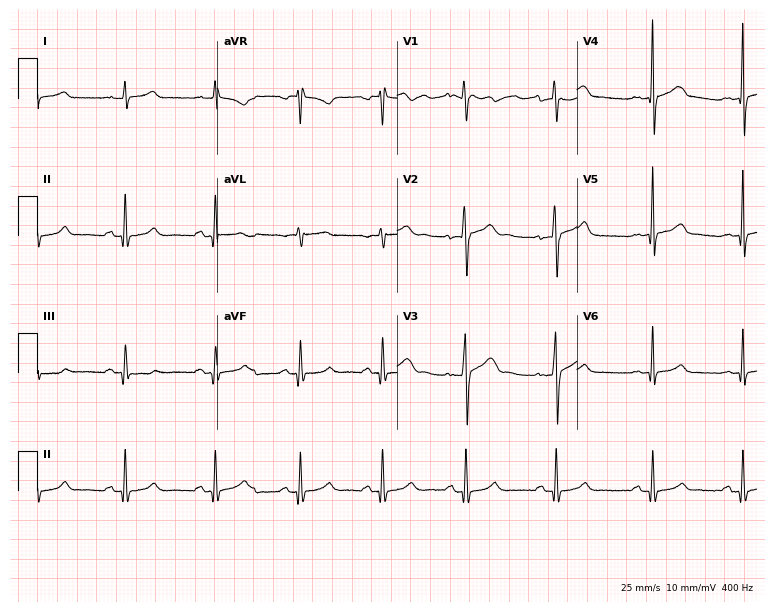
Standard 12-lead ECG recorded from a male patient, 29 years old. None of these six findings is recorded: first-degree AV block, right bundle branch block (RBBB), left bundle branch block (LBBB), sinus bradycardia, atrial fibrillation (AF), sinus tachycardia.